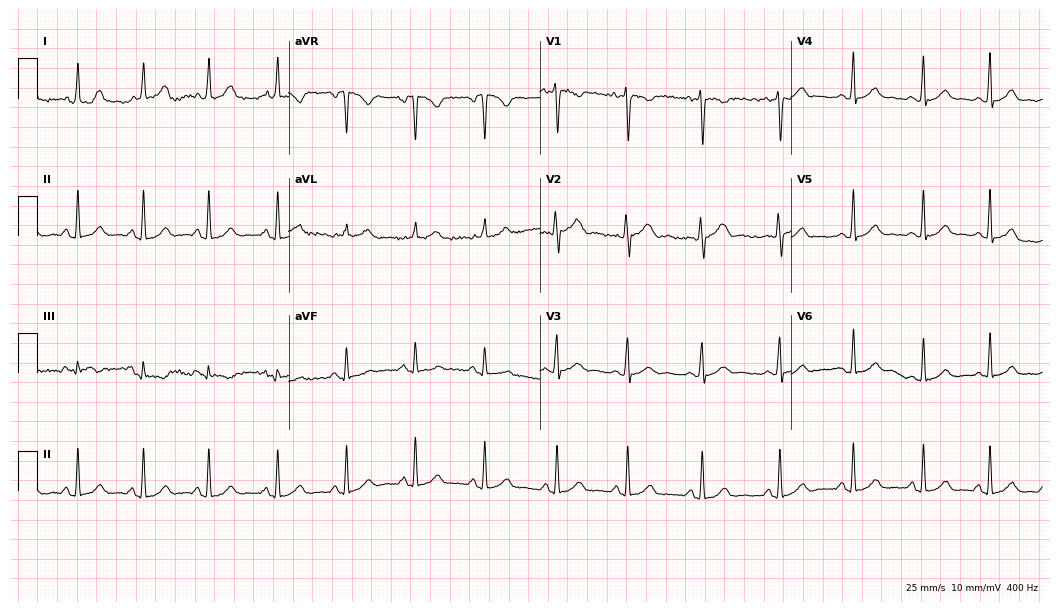
Electrocardiogram (10.2-second recording at 400 Hz), a woman, 18 years old. Overall reading on record: normal ECG.